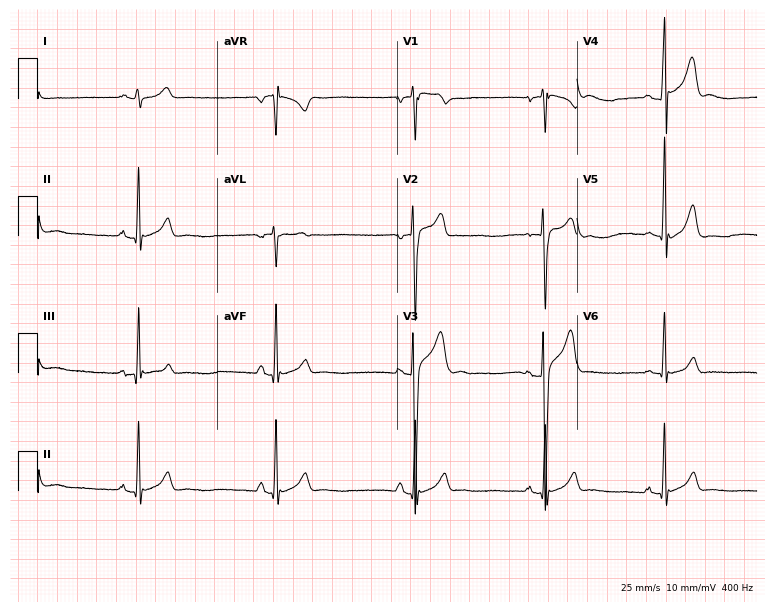
Resting 12-lead electrocardiogram. Patient: a man, 20 years old. The tracing shows sinus bradycardia (a sinus rate of 50 beats per minute or less).